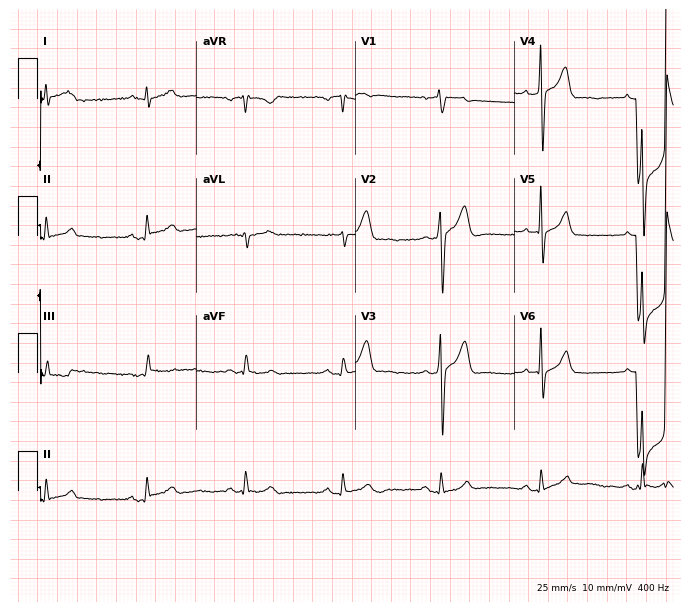
Electrocardiogram, a 44-year-old male. Of the six screened findings (first-degree AV block, right bundle branch block, left bundle branch block, sinus bradycardia, atrial fibrillation, sinus tachycardia), none is recorded. Only these six findings were labelled.